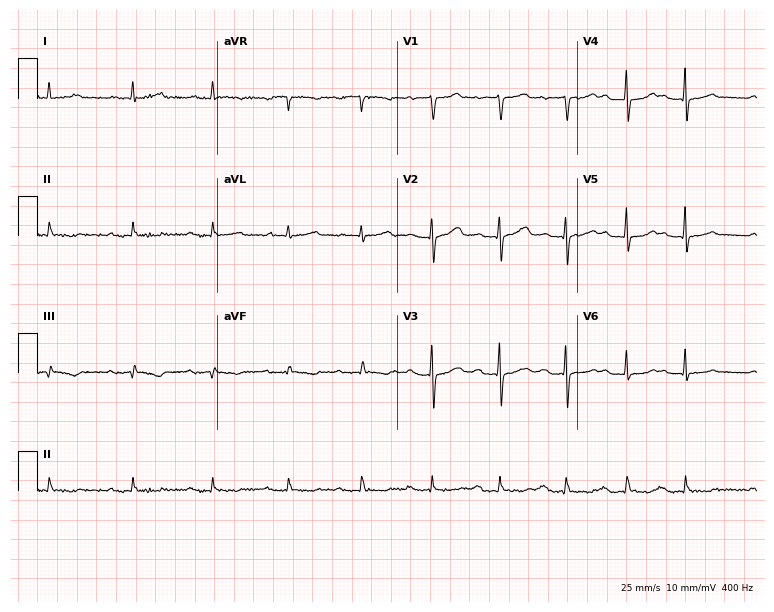
Electrocardiogram (7.3-second recording at 400 Hz), a 76-year-old woman. Interpretation includes first-degree AV block.